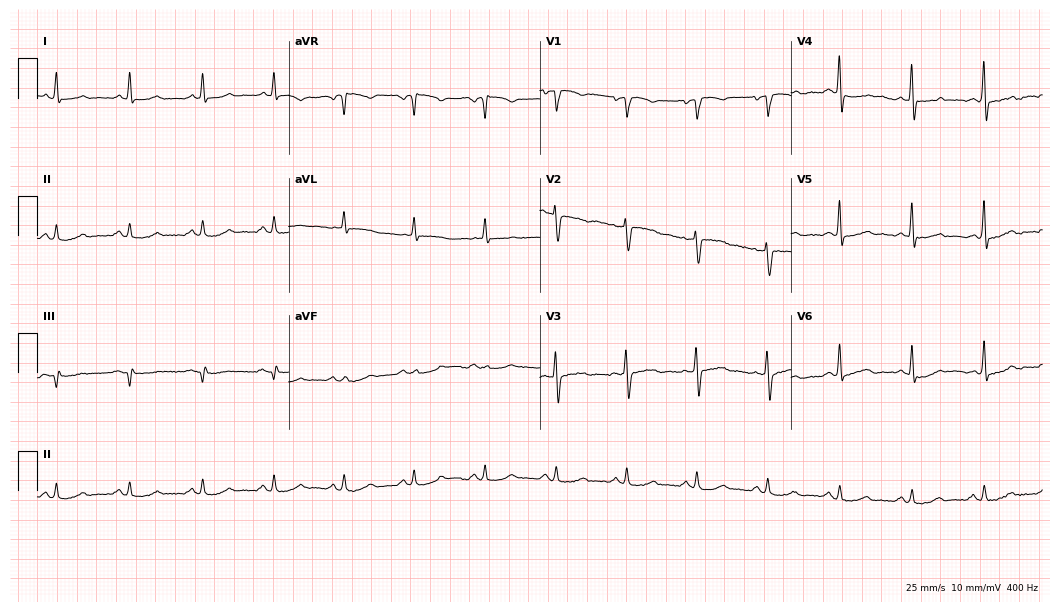
Standard 12-lead ECG recorded from a 70-year-old male patient. Read as a normal ECG.